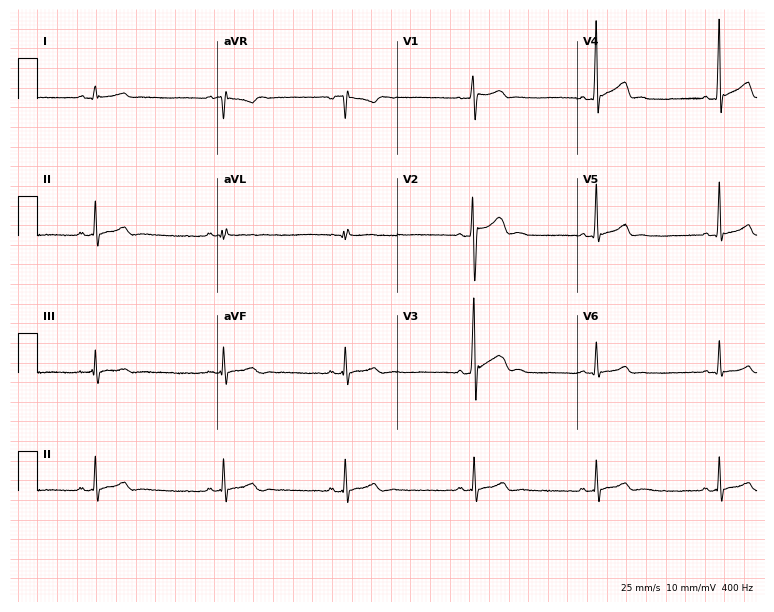
Standard 12-lead ECG recorded from a man, 18 years old (7.3-second recording at 400 Hz). None of these six findings is recorded: first-degree AV block, right bundle branch block (RBBB), left bundle branch block (LBBB), sinus bradycardia, atrial fibrillation (AF), sinus tachycardia. Findings outside these six are not listed.